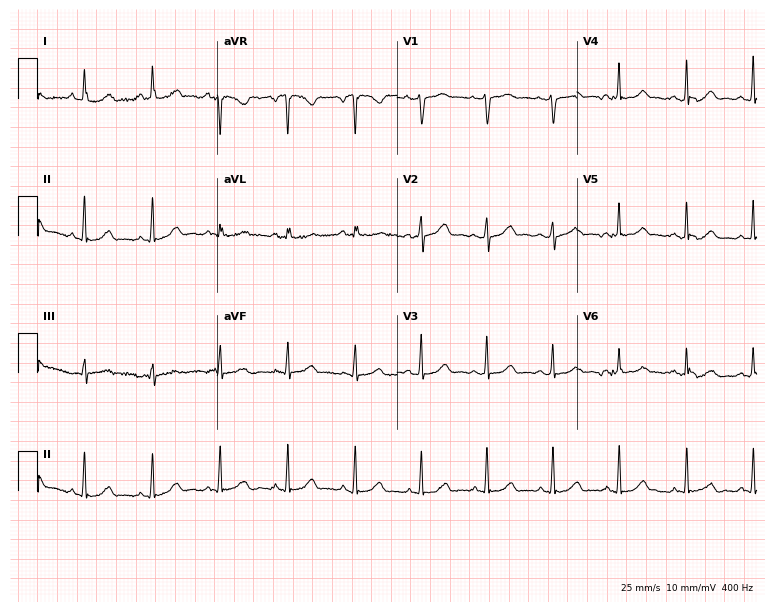
12-lead ECG from a 43-year-old woman. Labelled as a normal ECG.